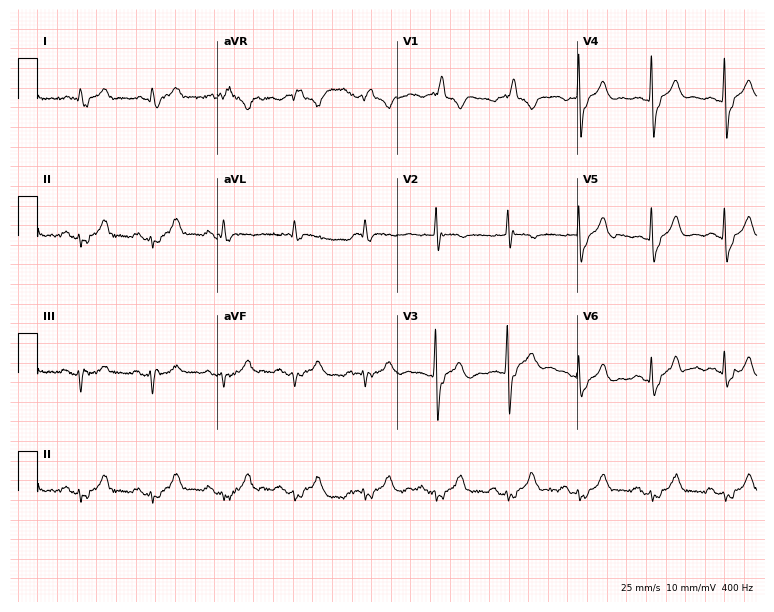
Resting 12-lead electrocardiogram. Patient: an 82-year-old male. The tracing shows right bundle branch block (RBBB).